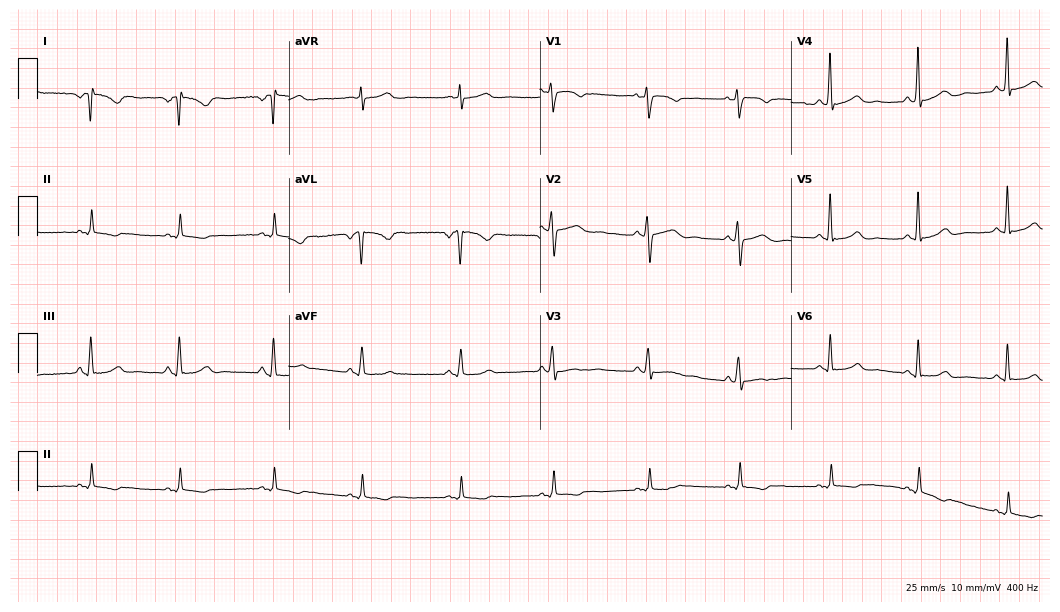
12-lead ECG from a female, 36 years old (10.2-second recording at 400 Hz). No first-degree AV block, right bundle branch block, left bundle branch block, sinus bradycardia, atrial fibrillation or sinus tachycardia recorded for this tracing. Only these six findings were labelled.